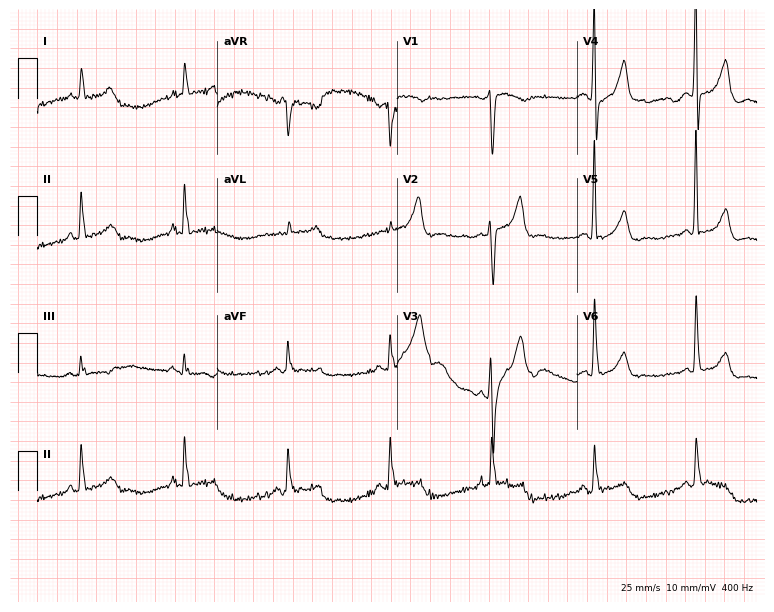
Standard 12-lead ECG recorded from an 89-year-old man (7.3-second recording at 400 Hz). None of these six findings is recorded: first-degree AV block, right bundle branch block (RBBB), left bundle branch block (LBBB), sinus bradycardia, atrial fibrillation (AF), sinus tachycardia.